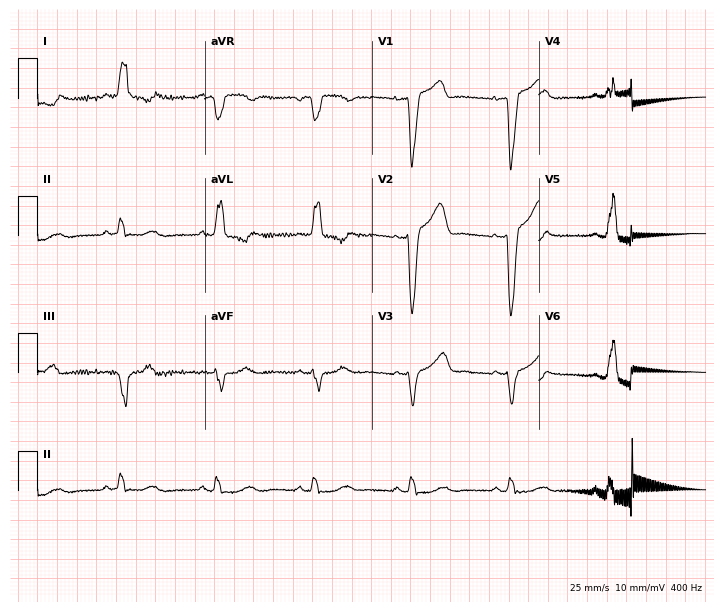
12-lead ECG from a woman, 49 years old. Shows left bundle branch block.